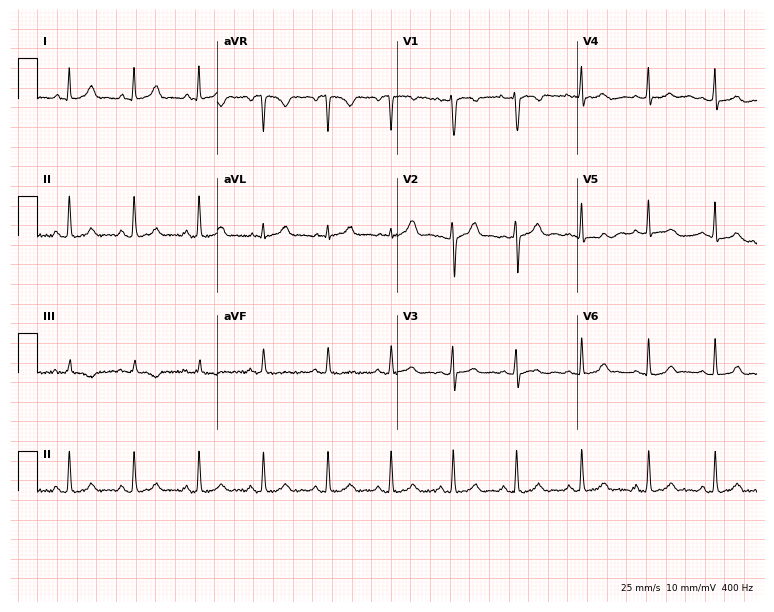
ECG (7.3-second recording at 400 Hz) — a female patient, 20 years old. Labelled as a normal ECG.